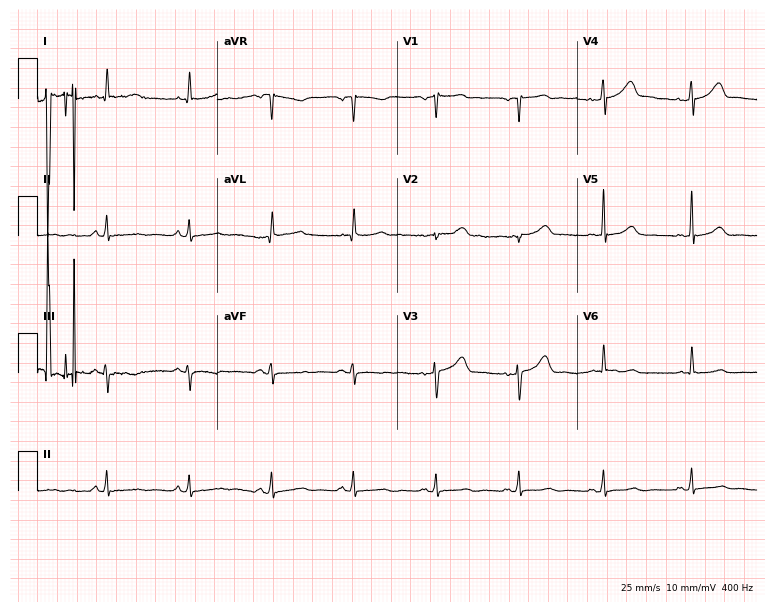
12-lead ECG from a 56-year-old female. Recorded interpretation: within normal limits.